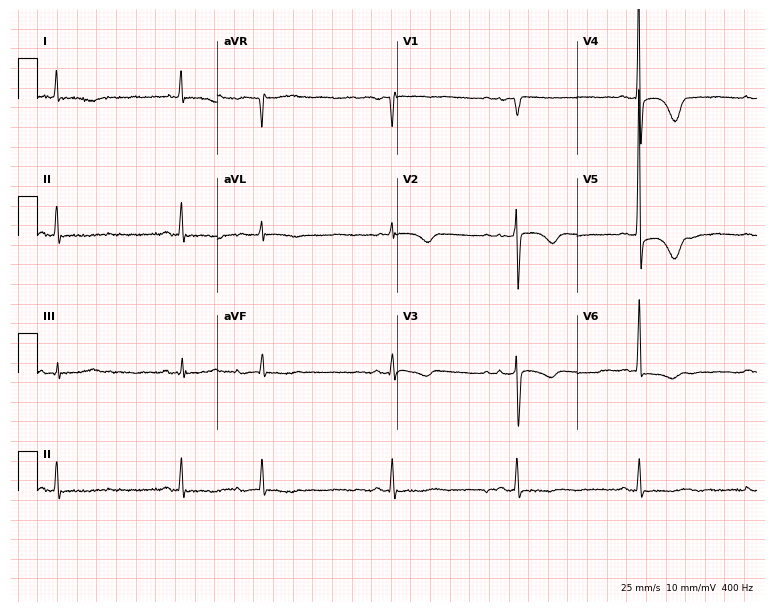
12-lead ECG from a female patient, 25 years old (7.3-second recording at 400 Hz). No first-degree AV block, right bundle branch block (RBBB), left bundle branch block (LBBB), sinus bradycardia, atrial fibrillation (AF) or sinus tachycardia recorded for this tracing. Other findings, if any, are not listed.